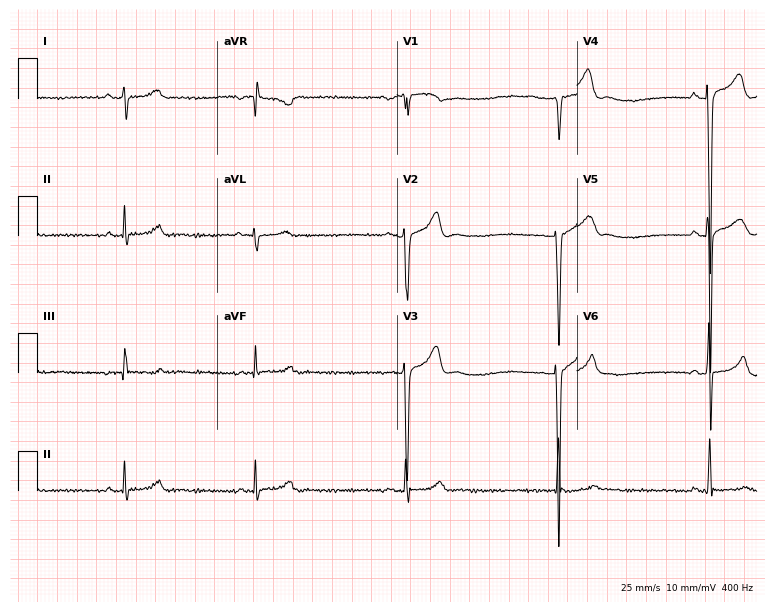
Standard 12-lead ECG recorded from a 22-year-old man. None of these six findings is recorded: first-degree AV block, right bundle branch block (RBBB), left bundle branch block (LBBB), sinus bradycardia, atrial fibrillation (AF), sinus tachycardia. Findings outside these six are not listed.